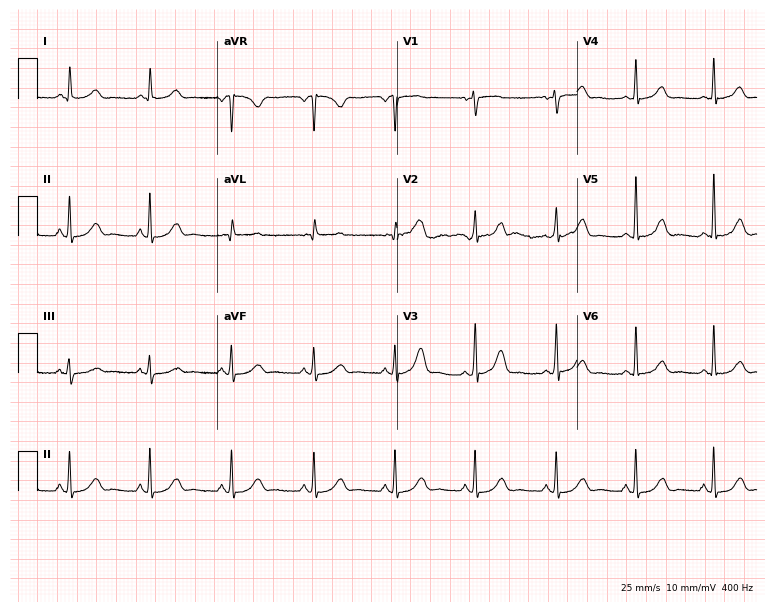
ECG — a 76-year-old woman. Labelled as a normal ECG.